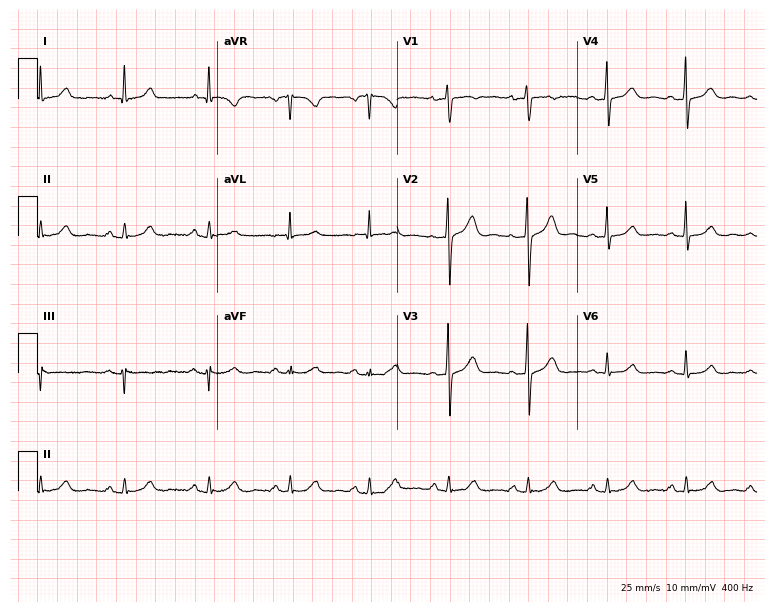
ECG (7.3-second recording at 400 Hz) — a female patient, 44 years old. Screened for six findings — first-degree AV block, right bundle branch block, left bundle branch block, sinus bradycardia, atrial fibrillation, sinus tachycardia — none is recorded.